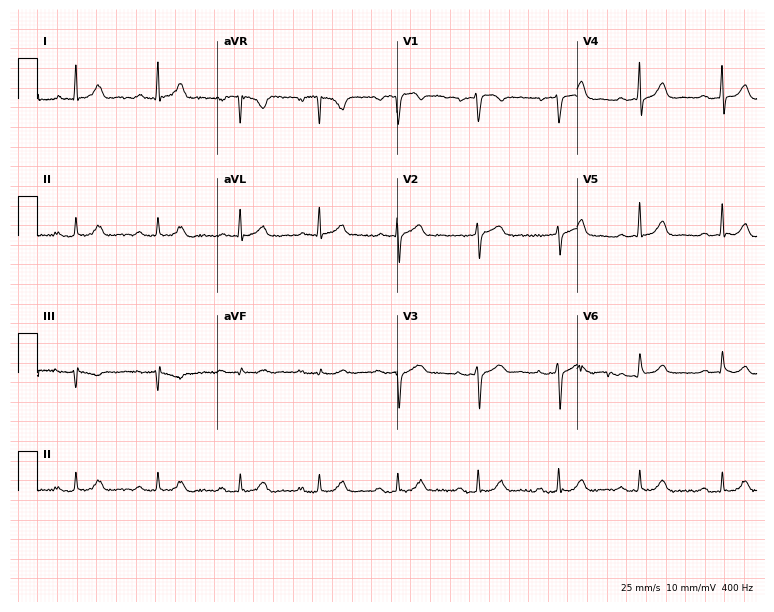
Resting 12-lead electrocardiogram. Patient: a man, 58 years old. Read as a normal ECG.